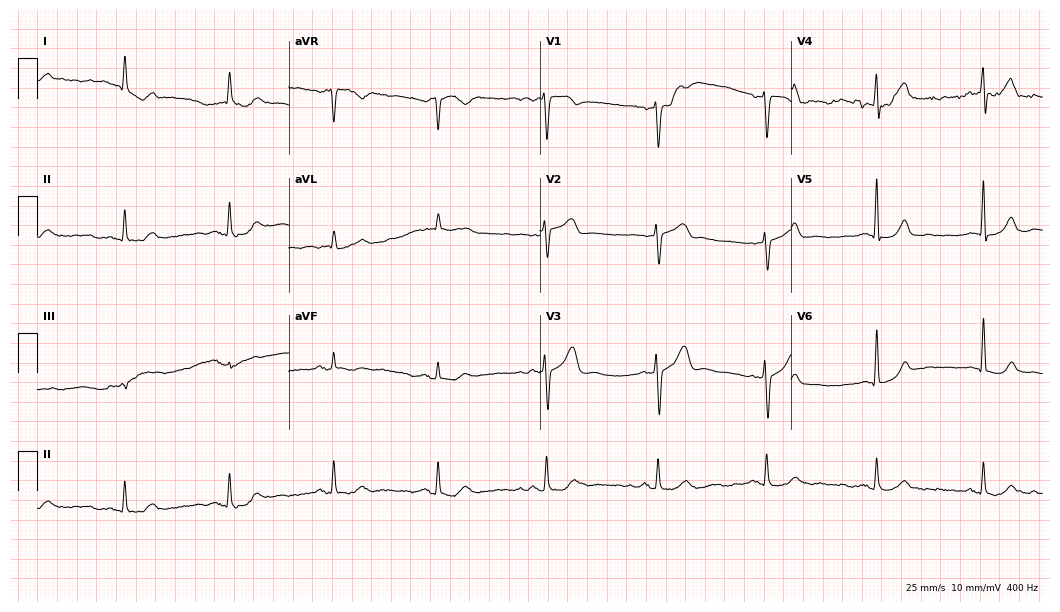
Standard 12-lead ECG recorded from a 74-year-old woman. None of these six findings is recorded: first-degree AV block, right bundle branch block (RBBB), left bundle branch block (LBBB), sinus bradycardia, atrial fibrillation (AF), sinus tachycardia.